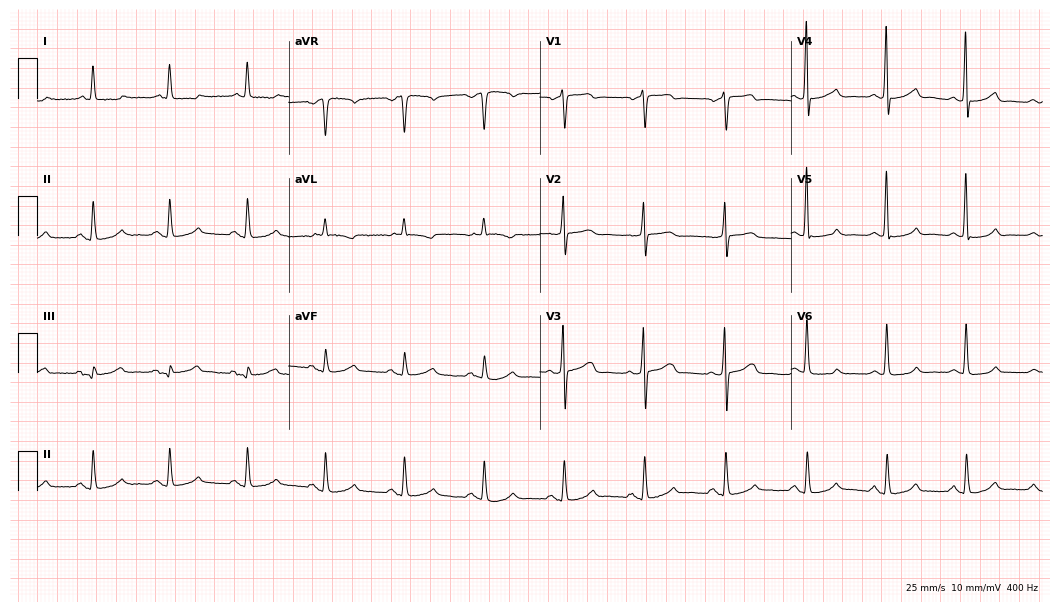
Resting 12-lead electrocardiogram. Patient: a woman, 67 years old. None of these six findings is recorded: first-degree AV block, right bundle branch block (RBBB), left bundle branch block (LBBB), sinus bradycardia, atrial fibrillation (AF), sinus tachycardia.